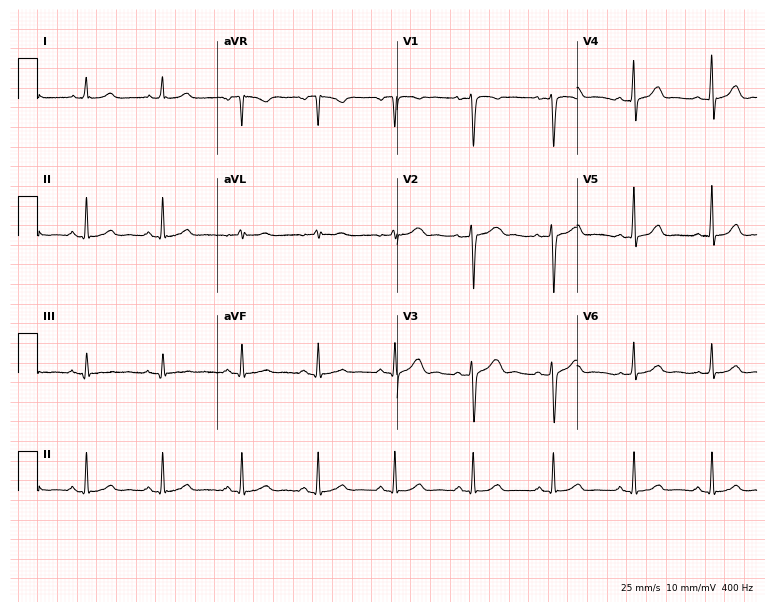
Electrocardiogram (7.3-second recording at 400 Hz), a 30-year-old woman. Overall reading on record: normal ECG.